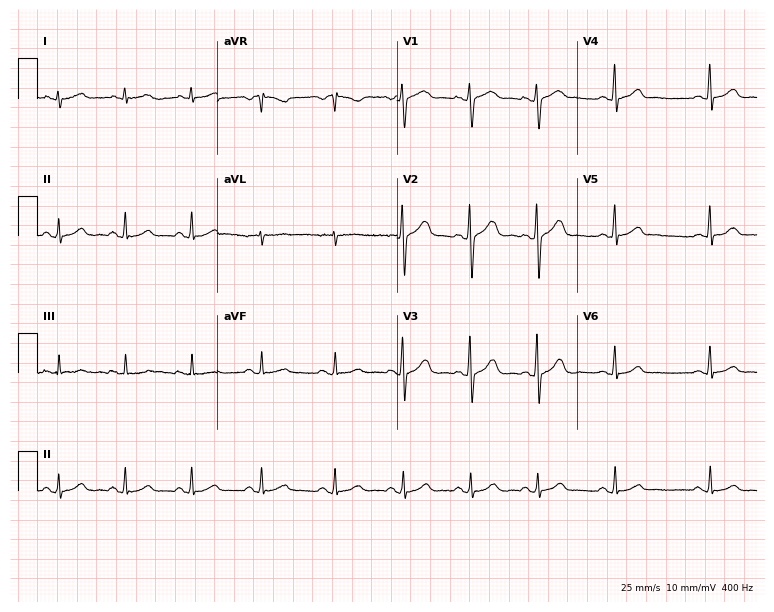
Electrocardiogram, a female, 34 years old. Overall reading on record: normal ECG.